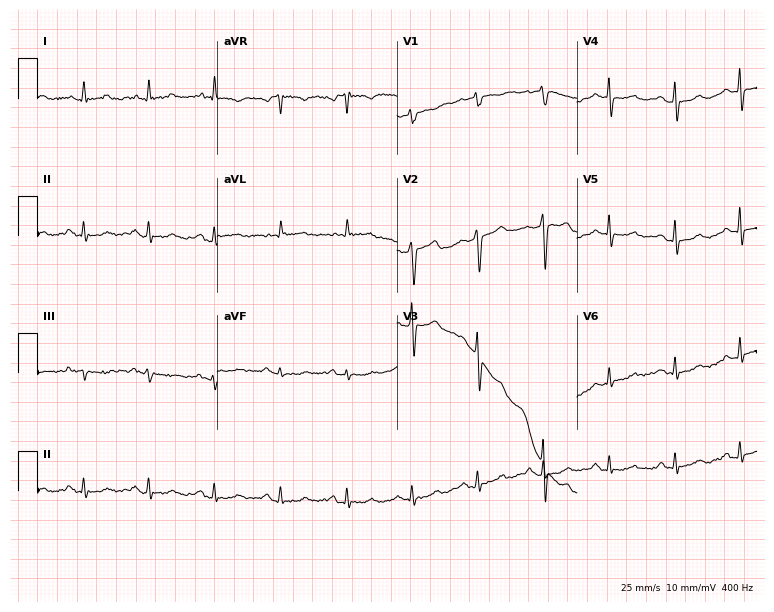
ECG (7.3-second recording at 400 Hz) — a female patient, 60 years old. Screened for six findings — first-degree AV block, right bundle branch block, left bundle branch block, sinus bradycardia, atrial fibrillation, sinus tachycardia — none is recorded. Only these six findings were labelled.